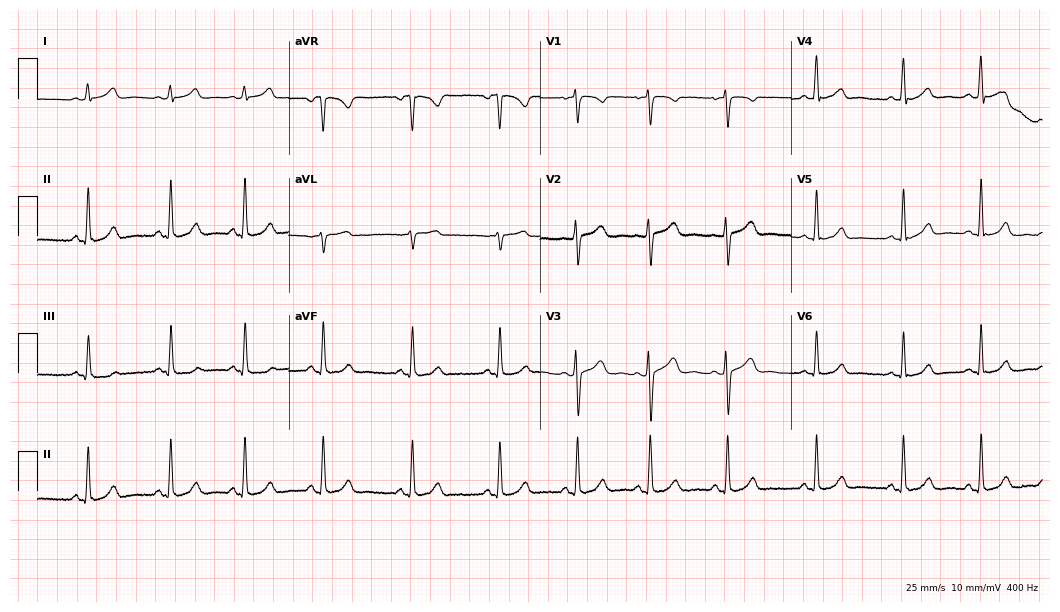
12-lead ECG from a woman, 19 years old. Recorded interpretation: within normal limits.